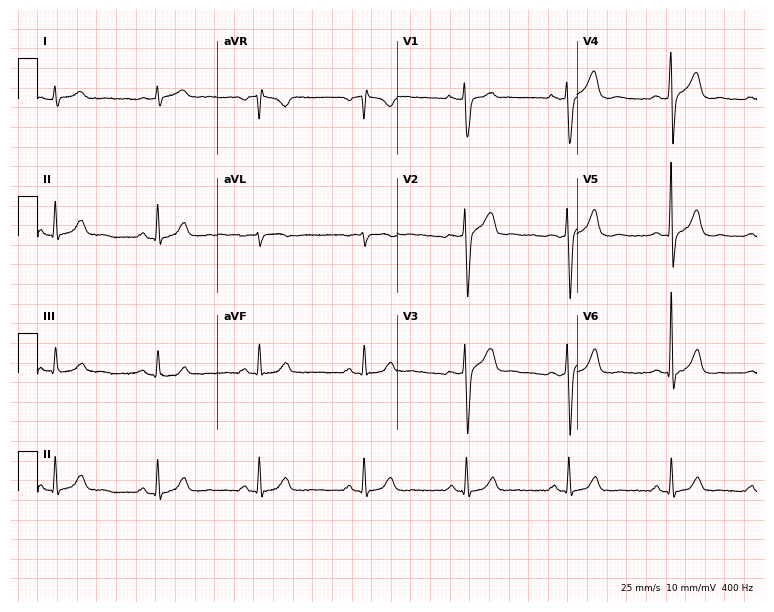
Electrocardiogram (7.3-second recording at 400 Hz), a 52-year-old female patient. Overall reading on record: normal ECG.